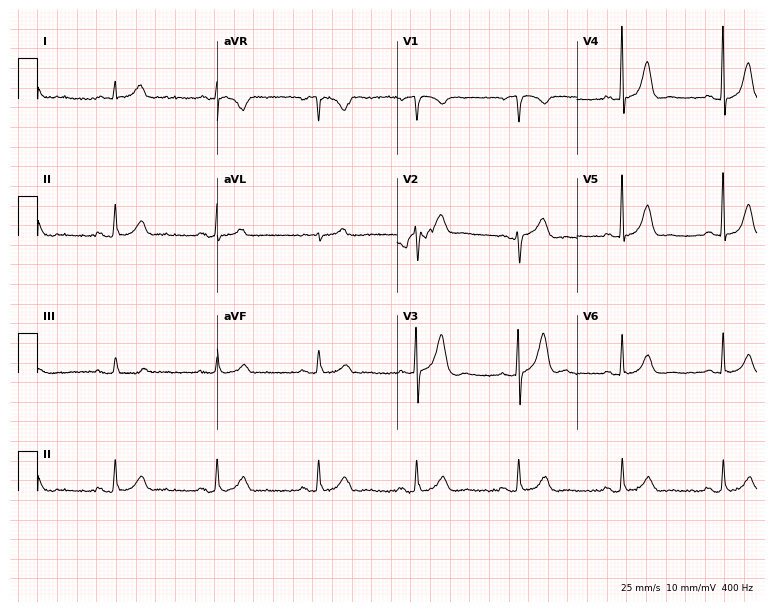
12-lead ECG from a man, 57 years old. Screened for six findings — first-degree AV block, right bundle branch block, left bundle branch block, sinus bradycardia, atrial fibrillation, sinus tachycardia — none is recorded. Only these six findings were labelled.